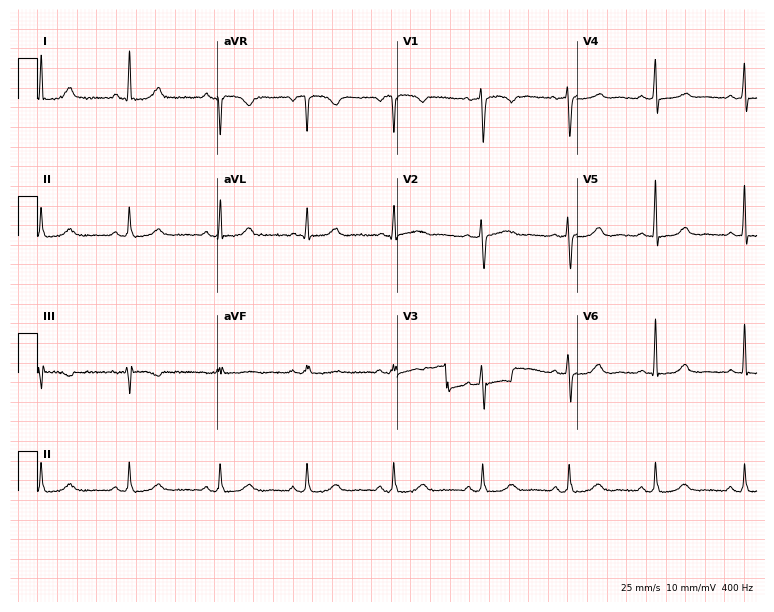
12-lead ECG (7.3-second recording at 400 Hz) from a 58-year-old female. Labelled as a normal ECG.